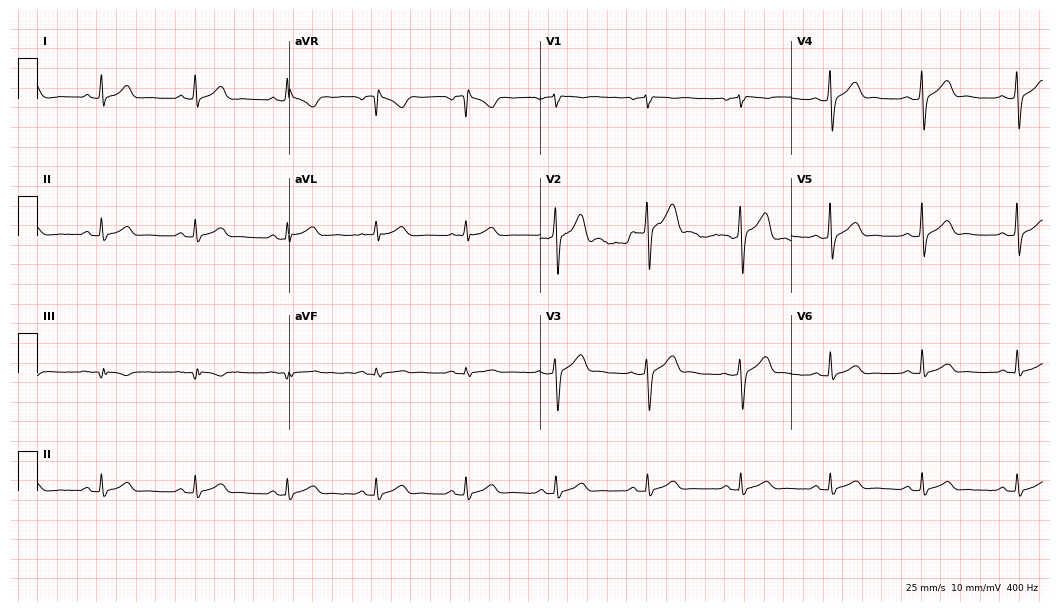
ECG — a male patient, 40 years old. Labelled as a normal ECG.